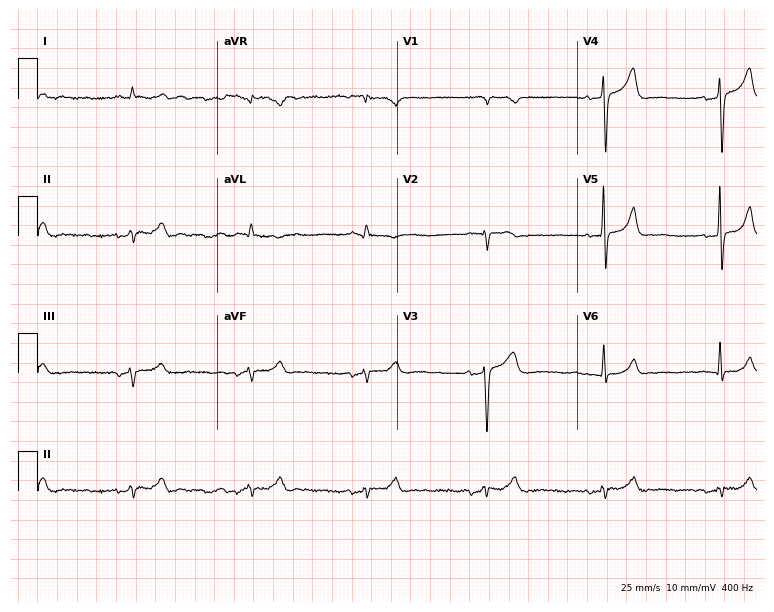
Electrocardiogram (7.3-second recording at 400 Hz), a female, 78 years old. Of the six screened findings (first-degree AV block, right bundle branch block, left bundle branch block, sinus bradycardia, atrial fibrillation, sinus tachycardia), none is recorded. Other findings, if any, are not listed.